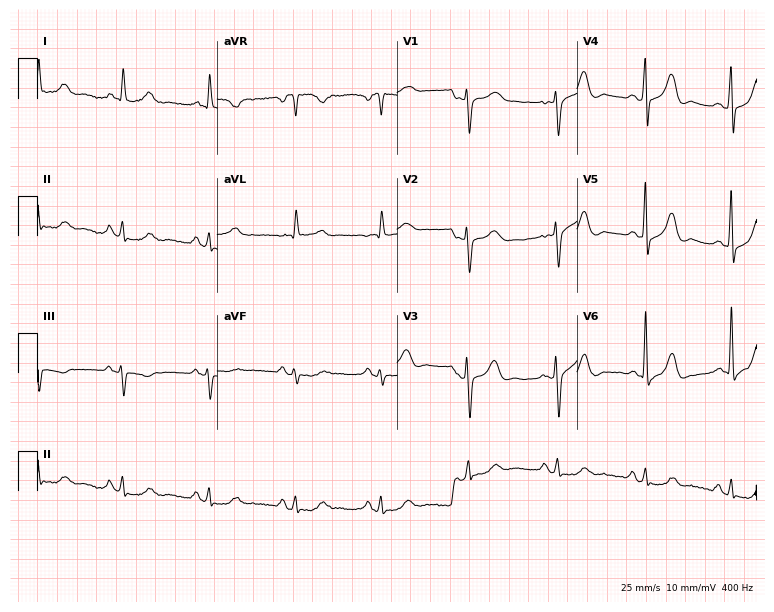
Resting 12-lead electrocardiogram (7.3-second recording at 400 Hz). Patient: a female, 82 years old. None of these six findings is recorded: first-degree AV block, right bundle branch block, left bundle branch block, sinus bradycardia, atrial fibrillation, sinus tachycardia.